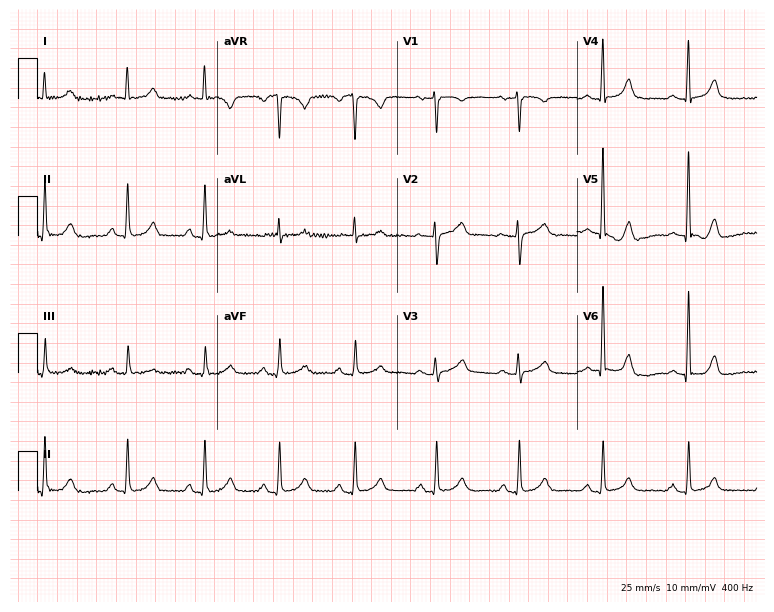
Electrocardiogram, a female, 48 years old. Of the six screened findings (first-degree AV block, right bundle branch block, left bundle branch block, sinus bradycardia, atrial fibrillation, sinus tachycardia), none is recorded.